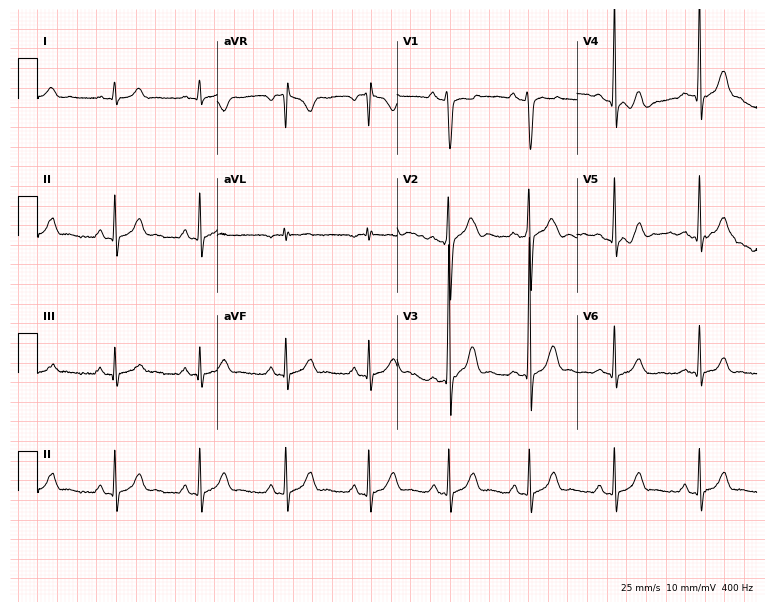
ECG (7.3-second recording at 400 Hz) — a man, 20 years old. Screened for six findings — first-degree AV block, right bundle branch block, left bundle branch block, sinus bradycardia, atrial fibrillation, sinus tachycardia — none is recorded.